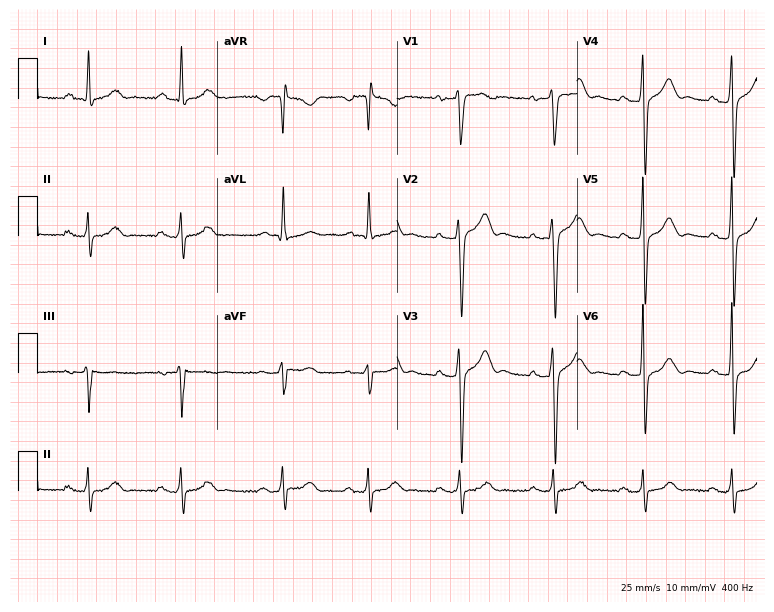
Electrocardiogram, a male, 45 years old. Overall reading on record: normal ECG.